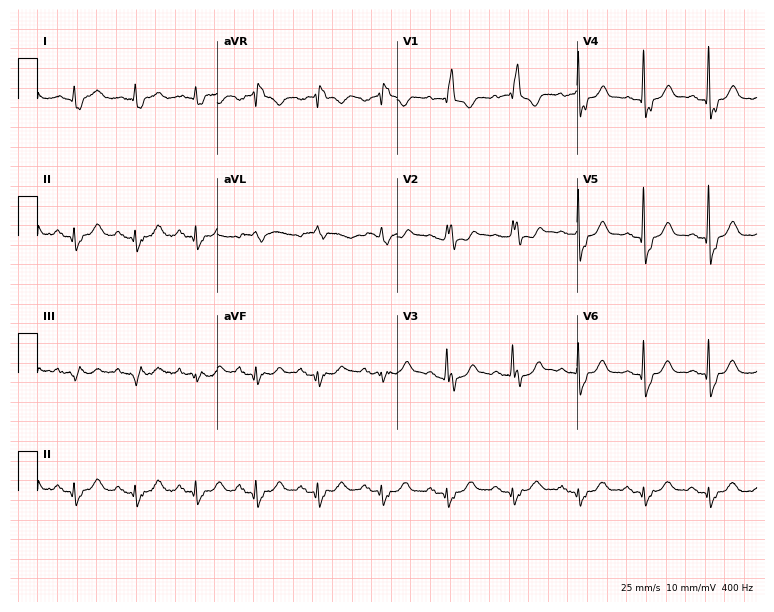
12-lead ECG from a 71-year-old male (7.3-second recording at 400 Hz). No first-degree AV block, right bundle branch block, left bundle branch block, sinus bradycardia, atrial fibrillation or sinus tachycardia recorded for this tracing. Other findings, if any, are not listed.